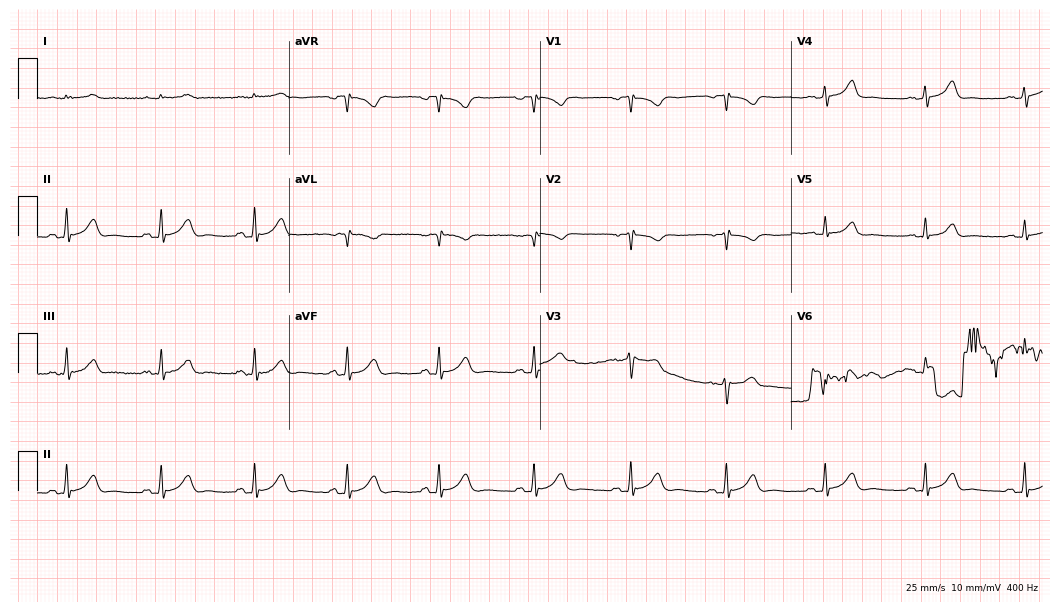
Electrocardiogram, a man, 55 years old. Overall reading on record: normal ECG.